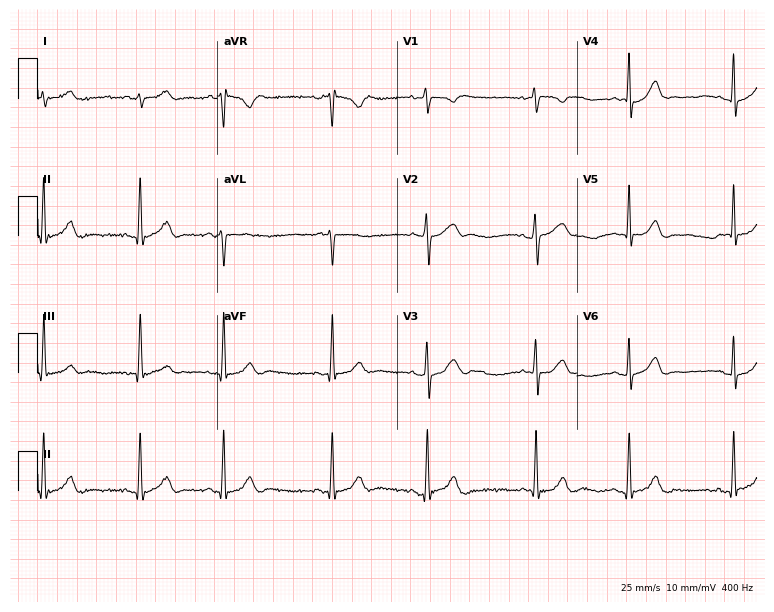
12-lead ECG from a 17-year-old female patient. Labelled as a normal ECG.